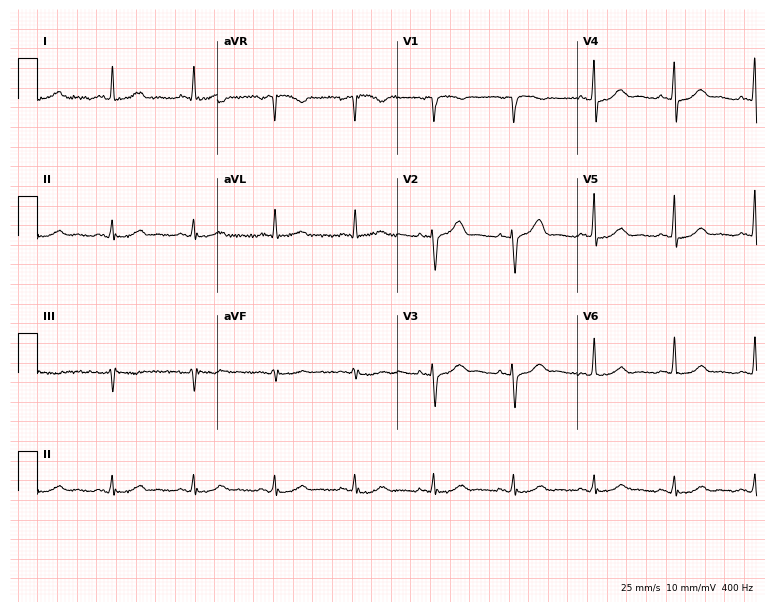
Standard 12-lead ECG recorded from a 58-year-old woman. None of these six findings is recorded: first-degree AV block, right bundle branch block, left bundle branch block, sinus bradycardia, atrial fibrillation, sinus tachycardia. Other findings, if any, are not listed.